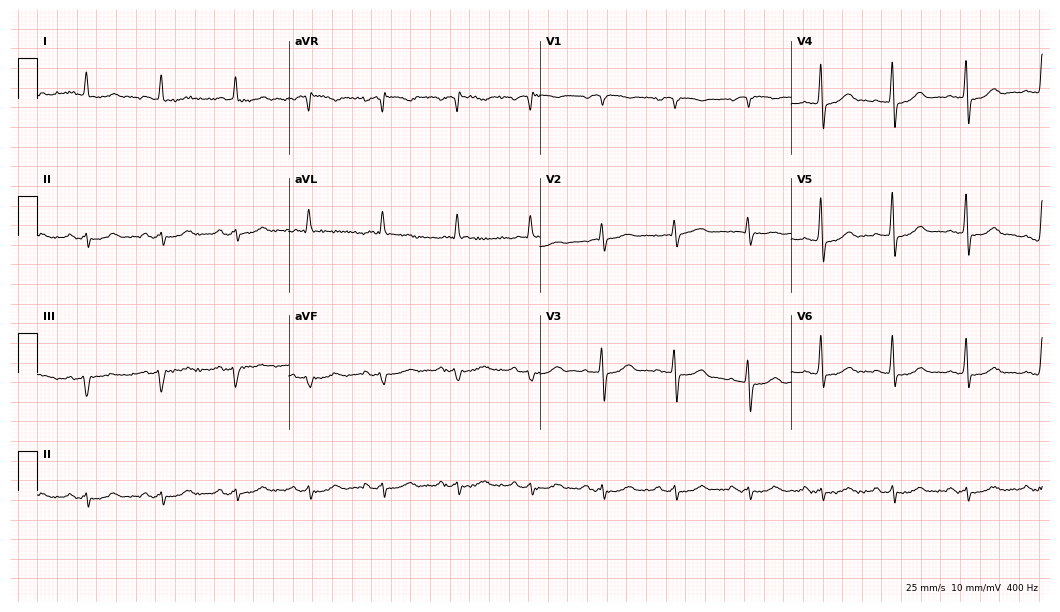
Resting 12-lead electrocardiogram (10.2-second recording at 400 Hz). Patient: a male, 83 years old. None of these six findings is recorded: first-degree AV block, right bundle branch block, left bundle branch block, sinus bradycardia, atrial fibrillation, sinus tachycardia.